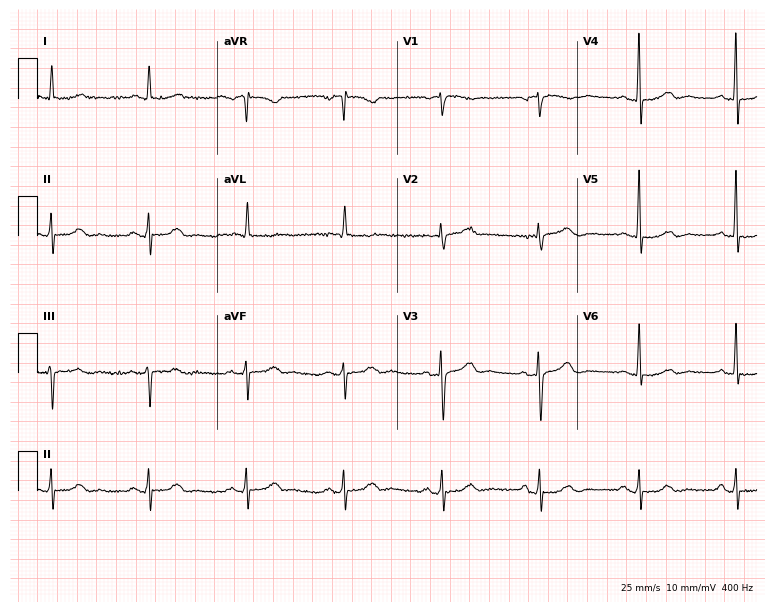
Standard 12-lead ECG recorded from a woman, 79 years old. None of these six findings is recorded: first-degree AV block, right bundle branch block, left bundle branch block, sinus bradycardia, atrial fibrillation, sinus tachycardia.